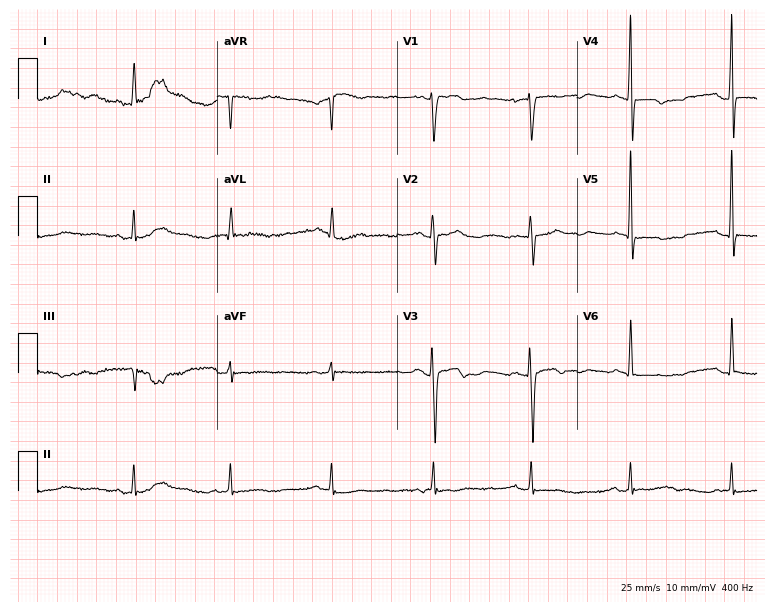
12-lead ECG (7.3-second recording at 400 Hz) from a 47-year-old woman. Screened for six findings — first-degree AV block, right bundle branch block, left bundle branch block, sinus bradycardia, atrial fibrillation, sinus tachycardia — none is recorded.